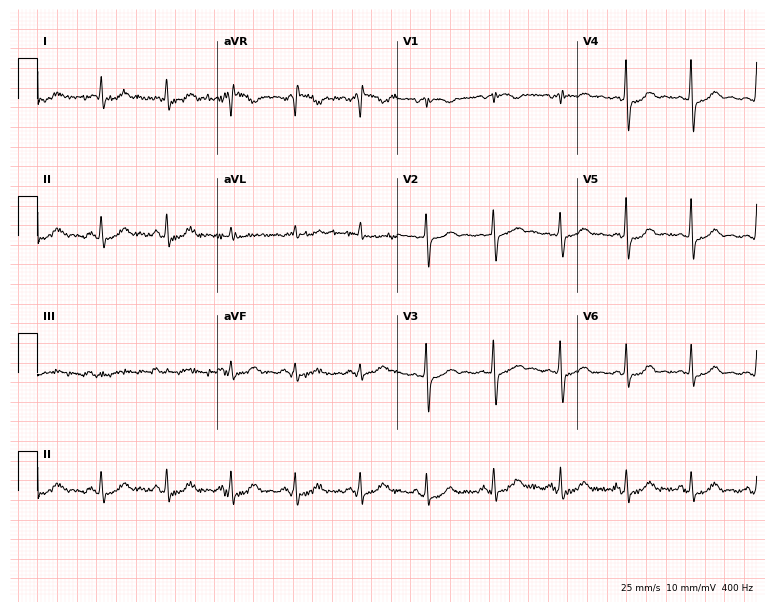
12-lead ECG from a woman, 62 years old. No first-degree AV block, right bundle branch block, left bundle branch block, sinus bradycardia, atrial fibrillation or sinus tachycardia recorded for this tracing. Findings outside these six are not listed.